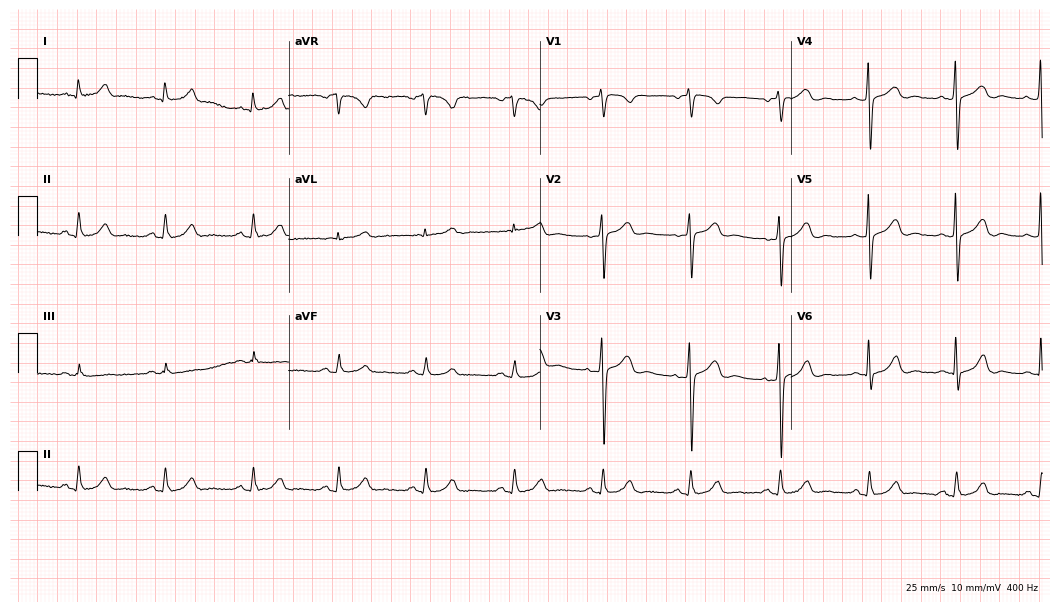
ECG — a female patient, 65 years old. Labelled as a normal ECG.